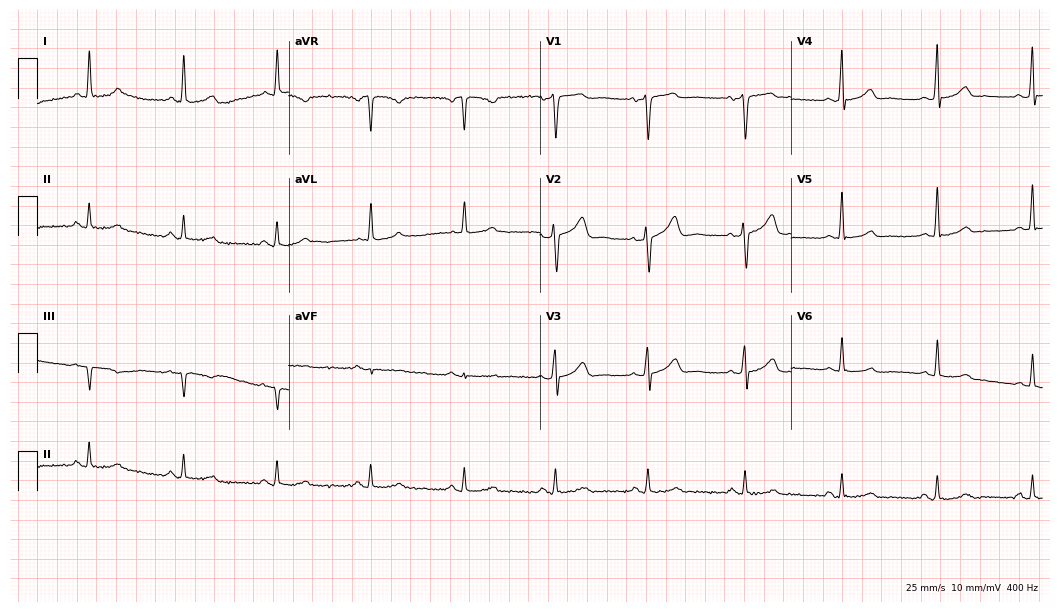
Standard 12-lead ECG recorded from a 63-year-old man. Read as a normal ECG.